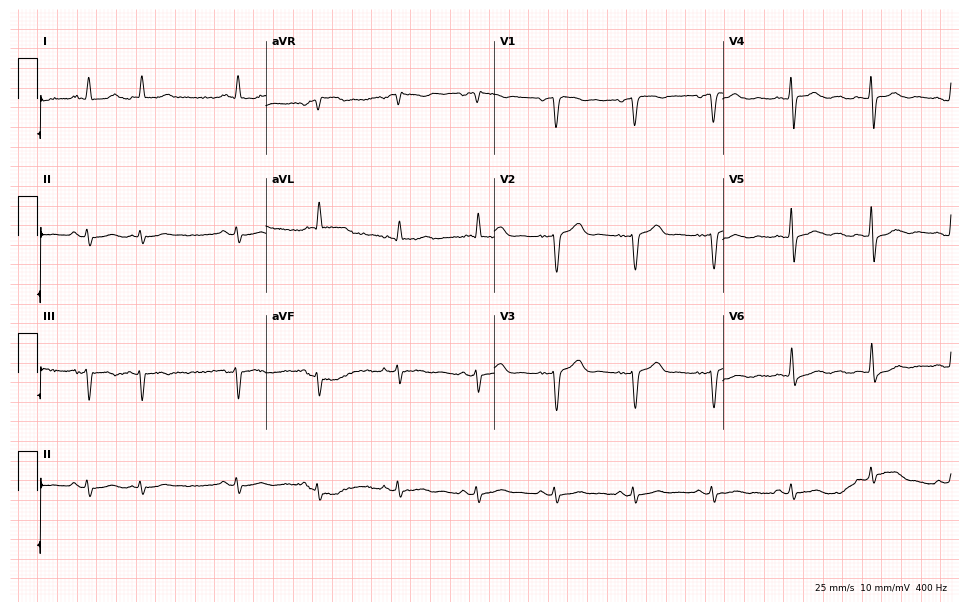
Electrocardiogram (9.3-second recording at 400 Hz), a male, 80 years old. Of the six screened findings (first-degree AV block, right bundle branch block, left bundle branch block, sinus bradycardia, atrial fibrillation, sinus tachycardia), none is recorded.